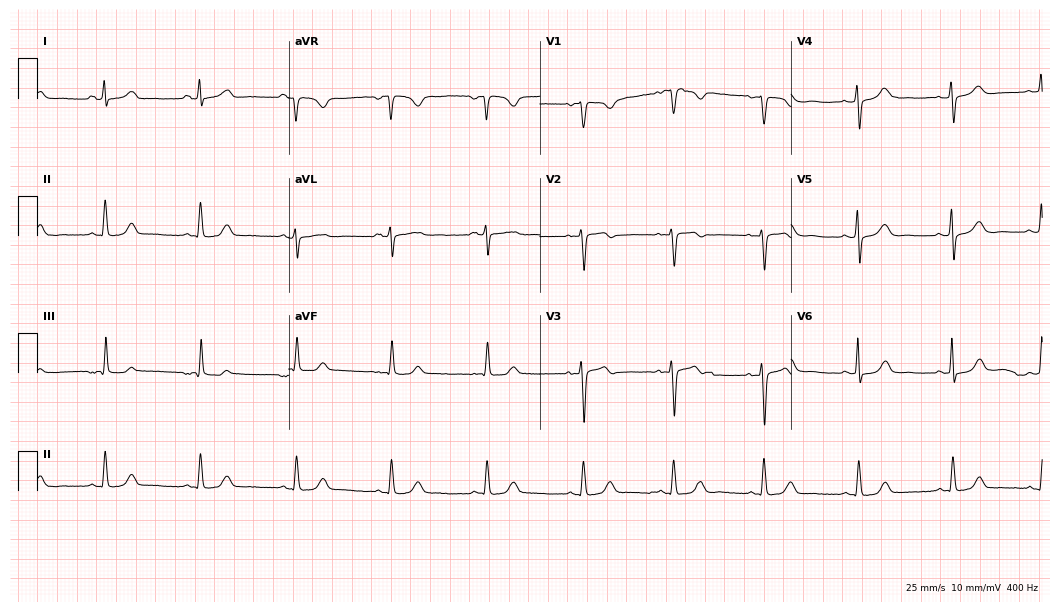
12-lead ECG from a 47-year-old woman (10.2-second recording at 400 Hz). Recorded interpretation: within normal limits.